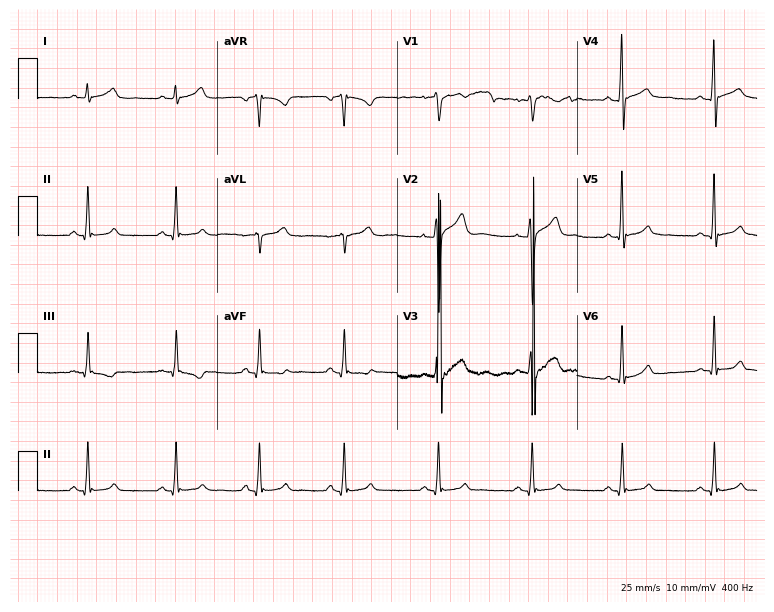
Electrocardiogram, a 26-year-old male patient. Overall reading on record: normal ECG.